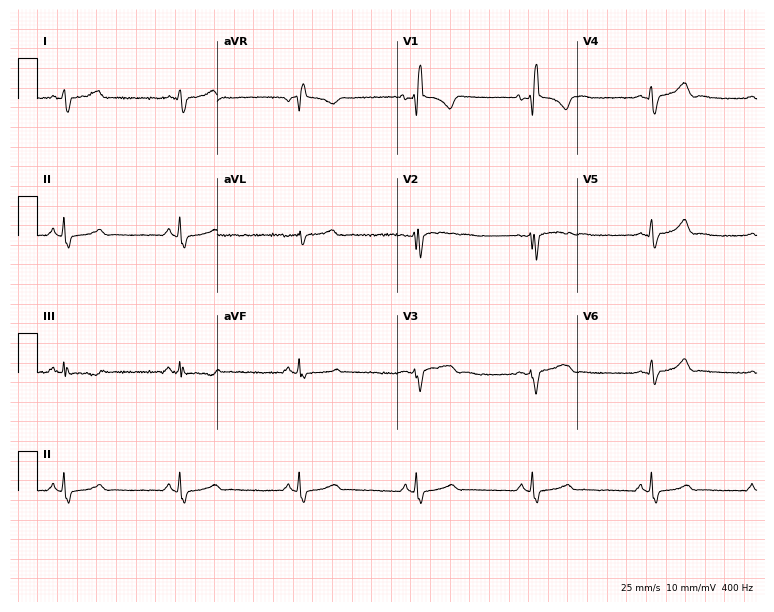
12-lead ECG from a 36-year-old female patient (7.3-second recording at 400 Hz). Shows right bundle branch block (RBBB).